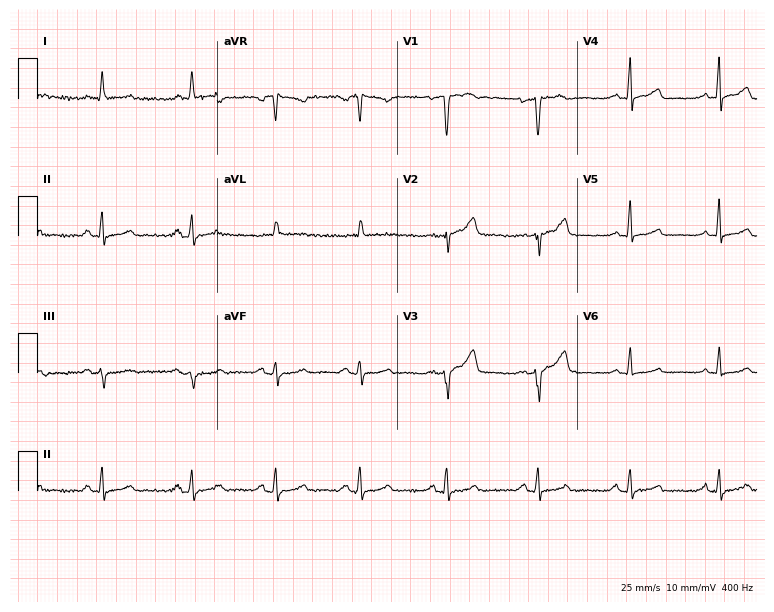
Resting 12-lead electrocardiogram (7.3-second recording at 400 Hz). Patient: a 58-year-old woman. Read as a normal ECG.